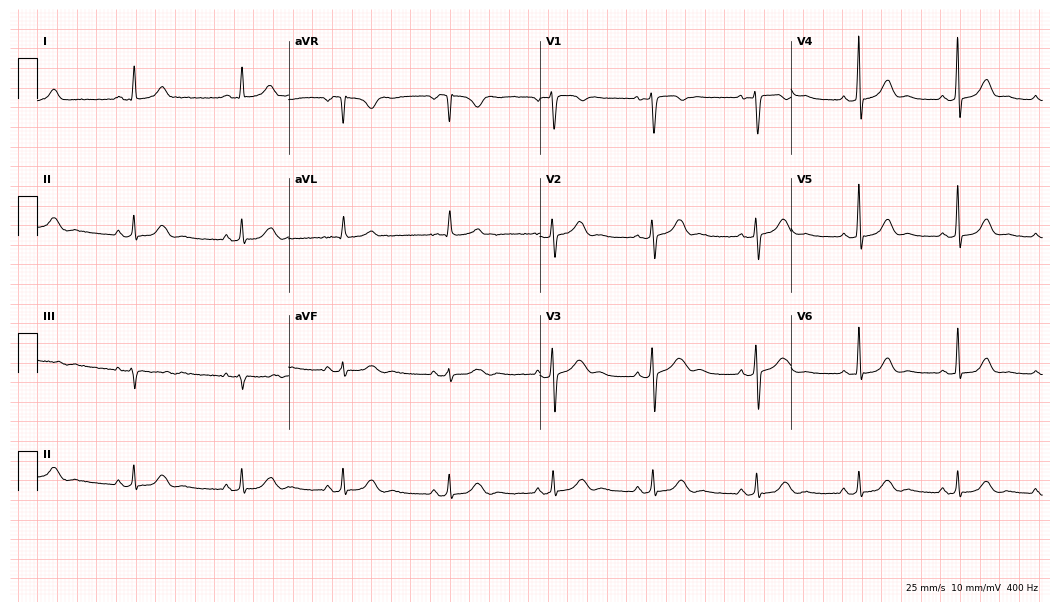
Electrocardiogram, a 43-year-old woman. Of the six screened findings (first-degree AV block, right bundle branch block (RBBB), left bundle branch block (LBBB), sinus bradycardia, atrial fibrillation (AF), sinus tachycardia), none is recorded.